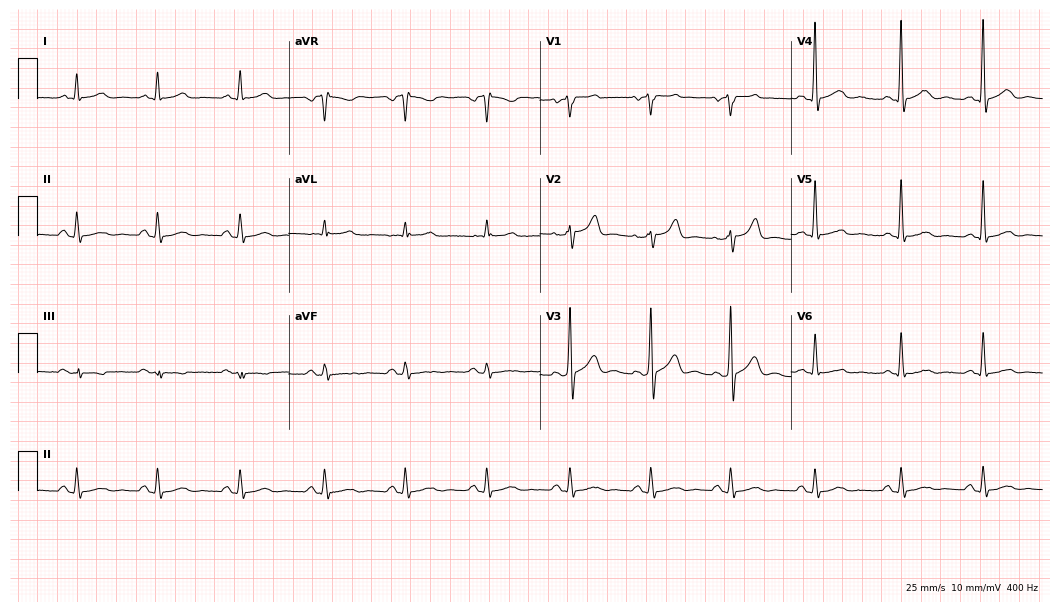
ECG — a man, 58 years old. Labelled as a normal ECG.